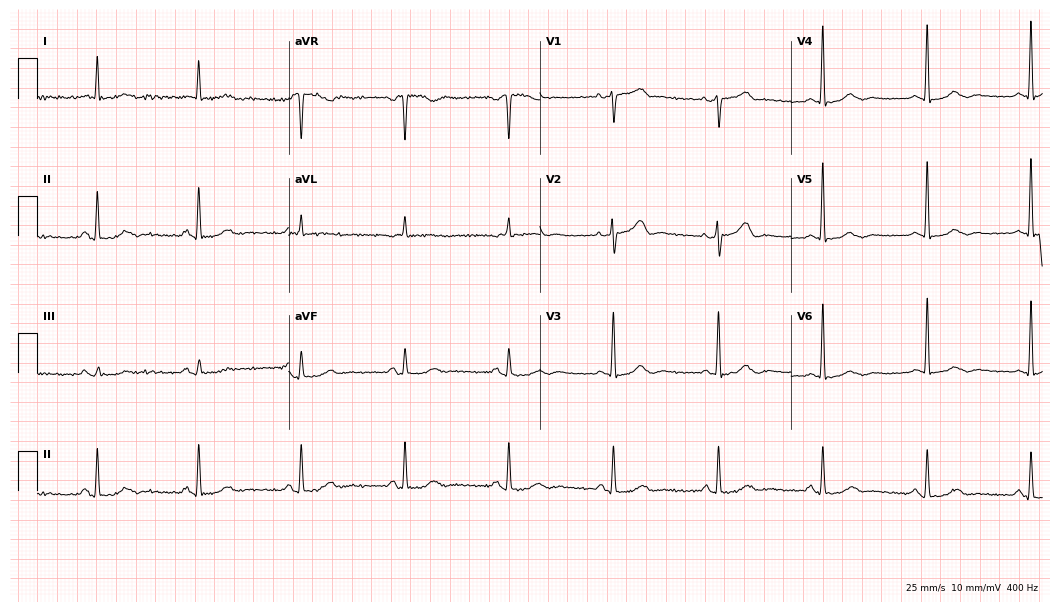
Electrocardiogram (10.2-second recording at 400 Hz), a female, 74 years old. Of the six screened findings (first-degree AV block, right bundle branch block (RBBB), left bundle branch block (LBBB), sinus bradycardia, atrial fibrillation (AF), sinus tachycardia), none is recorded. Findings outside these six are not listed.